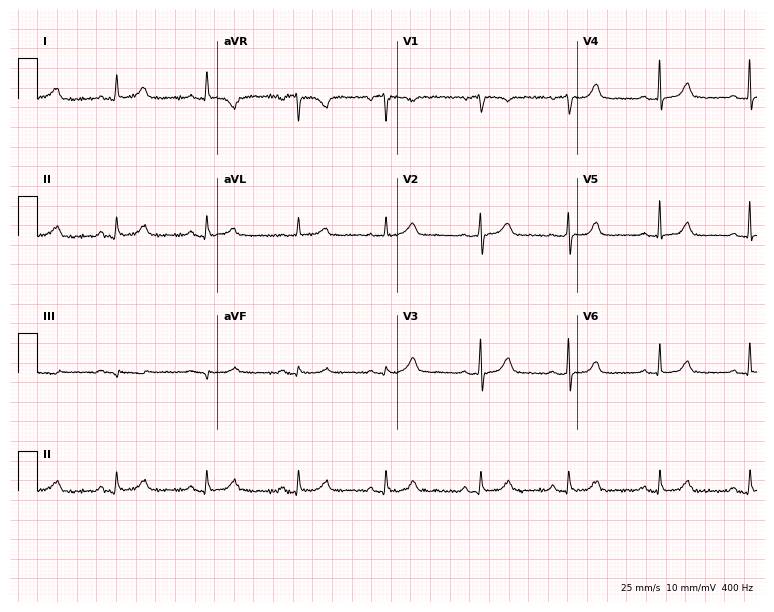
Standard 12-lead ECG recorded from a female, 58 years old. None of these six findings is recorded: first-degree AV block, right bundle branch block, left bundle branch block, sinus bradycardia, atrial fibrillation, sinus tachycardia. Other findings, if any, are not listed.